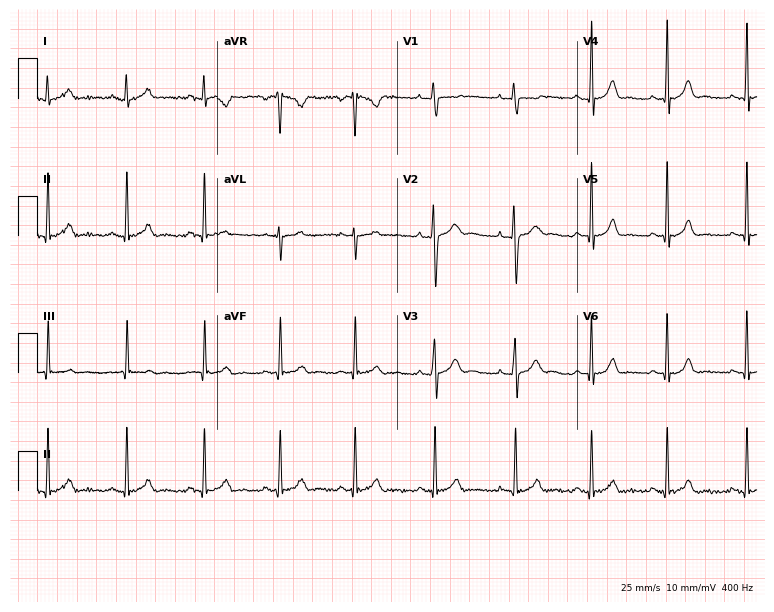
Standard 12-lead ECG recorded from a 22-year-old woman (7.3-second recording at 400 Hz). None of these six findings is recorded: first-degree AV block, right bundle branch block, left bundle branch block, sinus bradycardia, atrial fibrillation, sinus tachycardia.